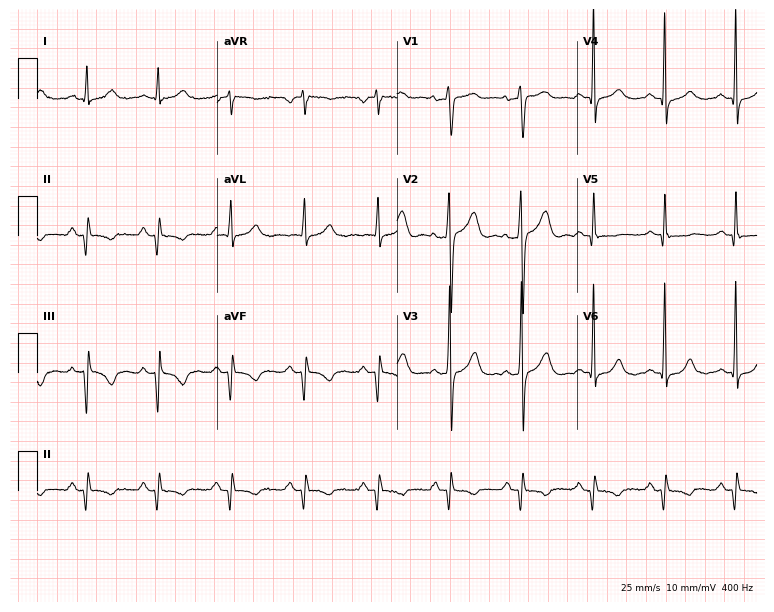
Standard 12-lead ECG recorded from a man, 60 years old (7.3-second recording at 400 Hz). None of these six findings is recorded: first-degree AV block, right bundle branch block, left bundle branch block, sinus bradycardia, atrial fibrillation, sinus tachycardia.